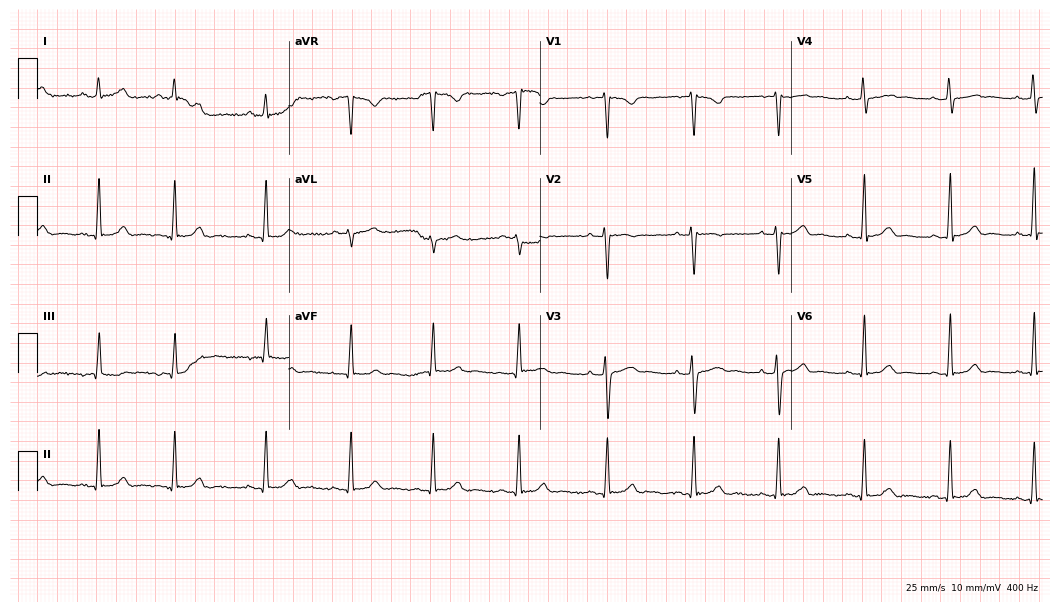
Electrocardiogram, a female, 19 years old. Overall reading on record: normal ECG.